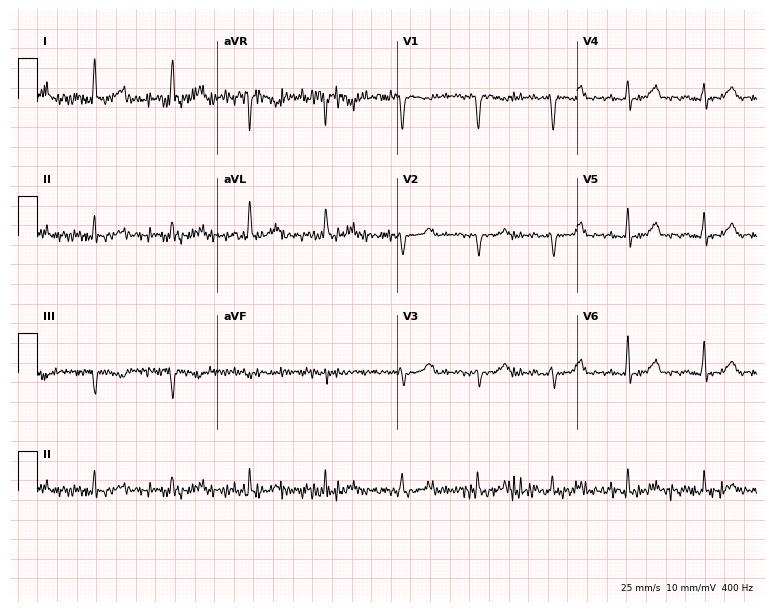
Electrocardiogram, a woman, 58 years old. Of the six screened findings (first-degree AV block, right bundle branch block, left bundle branch block, sinus bradycardia, atrial fibrillation, sinus tachycardia), none is recorded.